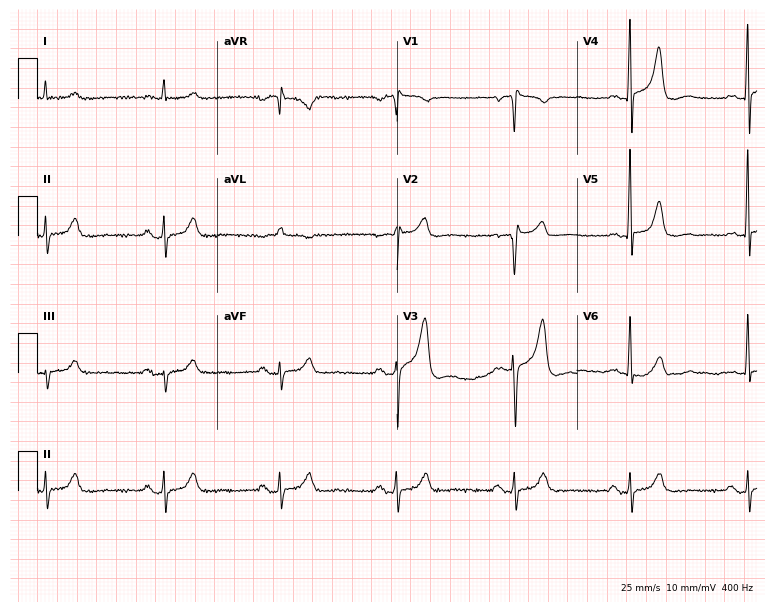
12-lead ECG from a 63-year-old male (7.3-second recording at 400 Hz). Shows sinus bradycardia (a sinus rate of 50 beats per minute or less).